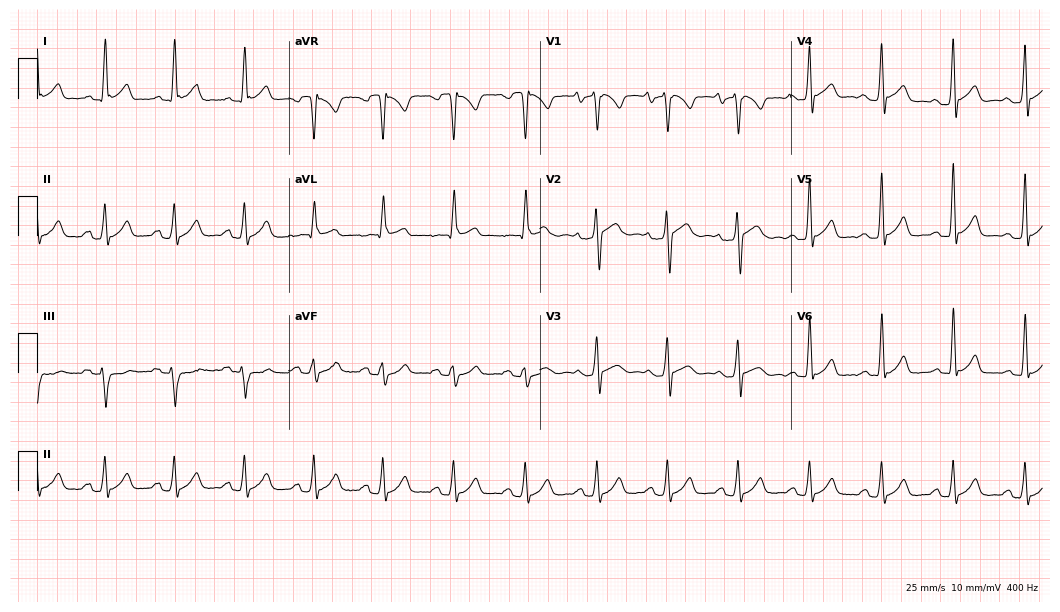
12-lead ECG (10.2-second recording at 400 Hz) from a male patient, 20 years old. Labelled as a normal ECG.